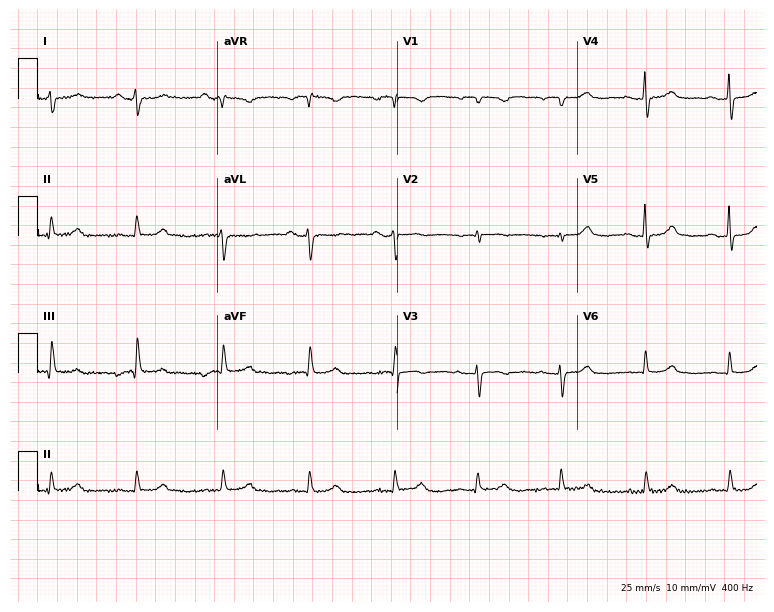
12-lead ECG from a female, 78 years old. No first-degree AV block, right bundle branch block, left bundle branch block, sinus bradycardia, atrial fibrillation or sinus tachycardia recorded for this tracing. Other findings, if any, are not listed.